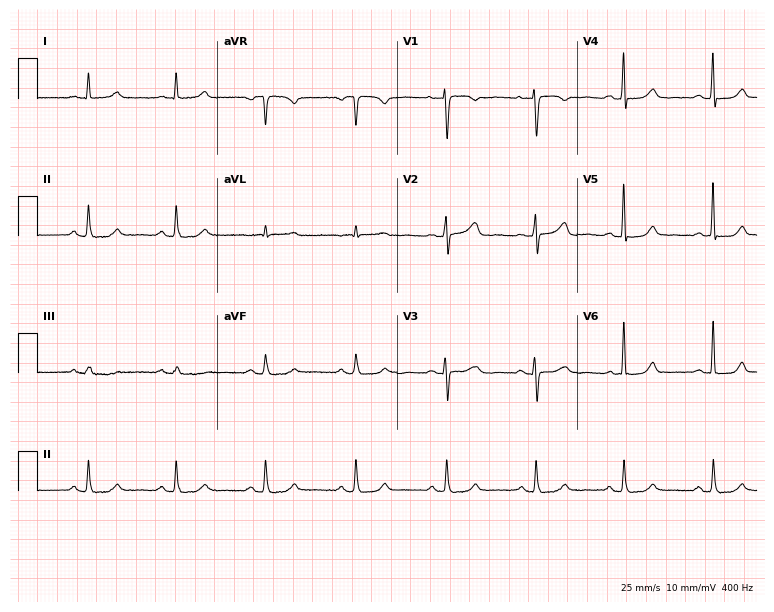
Electrocardiogram, a woman, 62 years old. Overall reading on record: normal ECG.